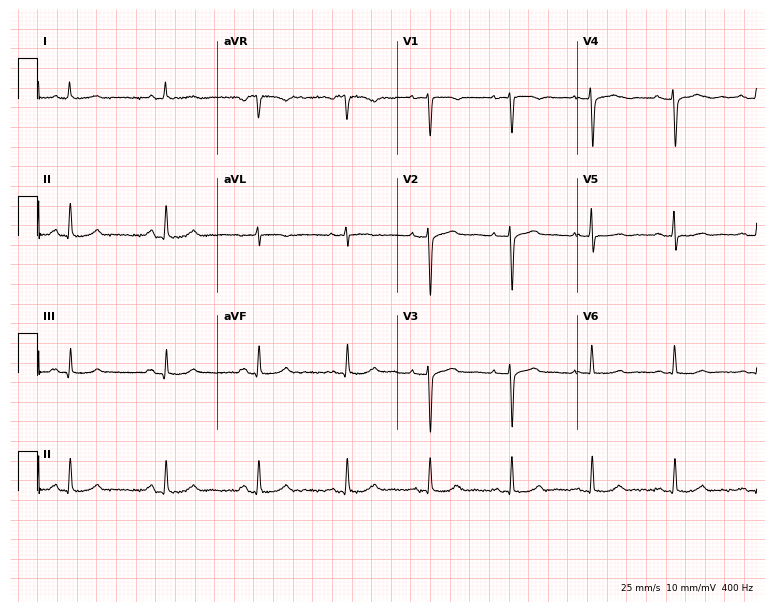
ECG — a woman, 51 years old. Labelled as a normal ECG.